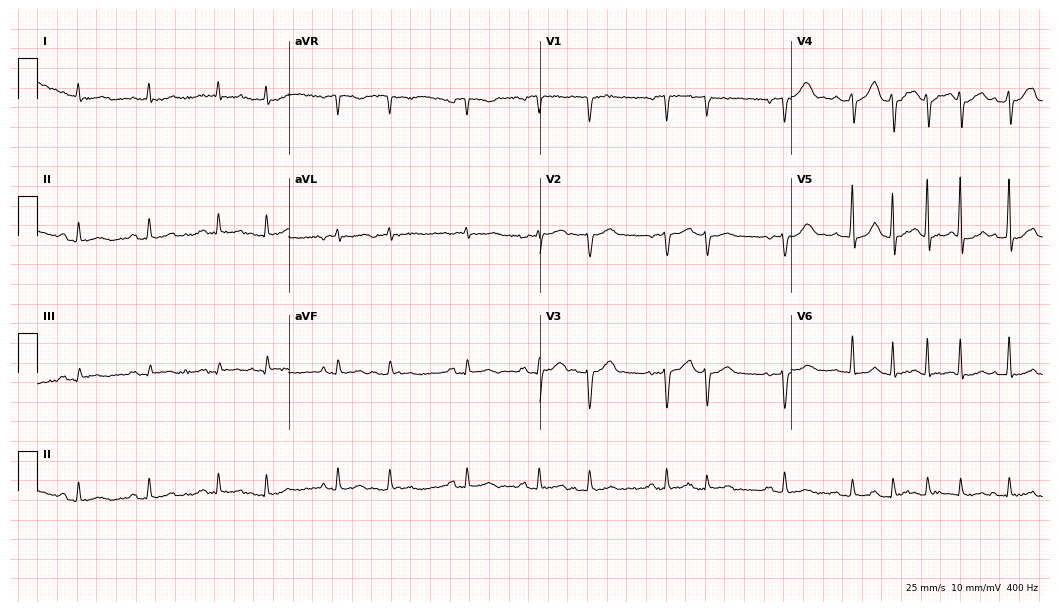
Resting 12-lead electrocardiogram. Patient: a 71-year-old female. None of these six findings is recorded: first-degree AV block, right bundle branch block (RBBB), left bundle branch block (LBBB), sinus bradycardia, atrial fibrillation (AF), sinus tachycardia. Findings outside these six are not listed.